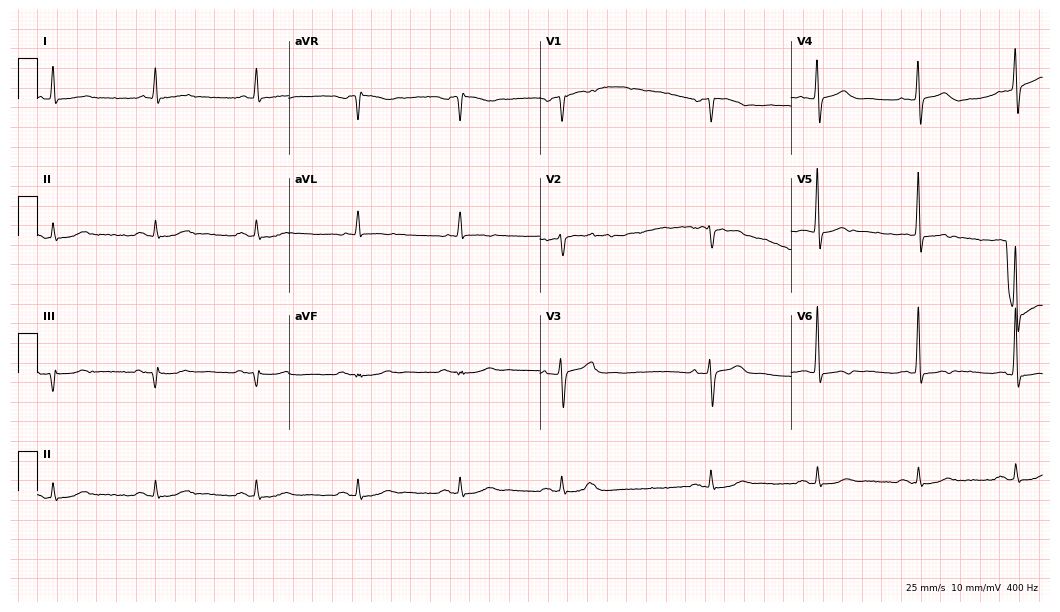
ECG — a 75-year-old male. Screened for six findings — first-degree AV block, right bundle branch block, left bundle branch block, sinus bradycardia, atrial fibrillation, sinus tachycardia — none is recorded. Other findings, if any, are not listed.